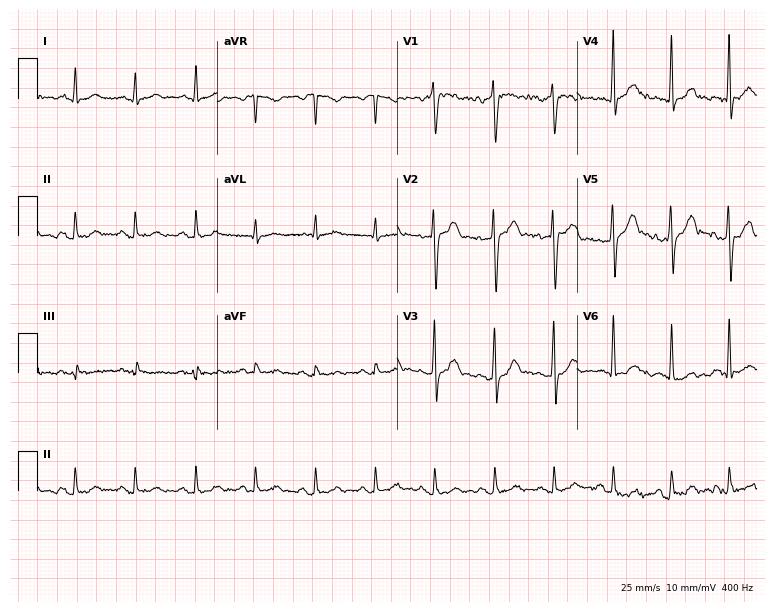
12-lead ECG from a 48-year-old male patient. Recorded interpretation: within normal limits.